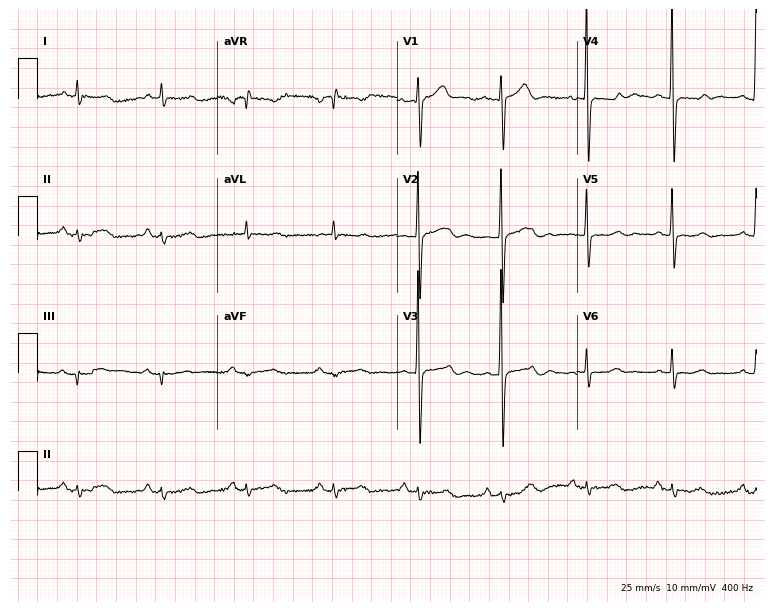
12-lead ECG from a 57-year-old woman. Screened for six findings — first-degree AV block, right bundle branch block, left bundle branch block, sinus bradycardia, atrial fibrillation, sinus tachycardia — none is recorded. Only these six findings were labelled.